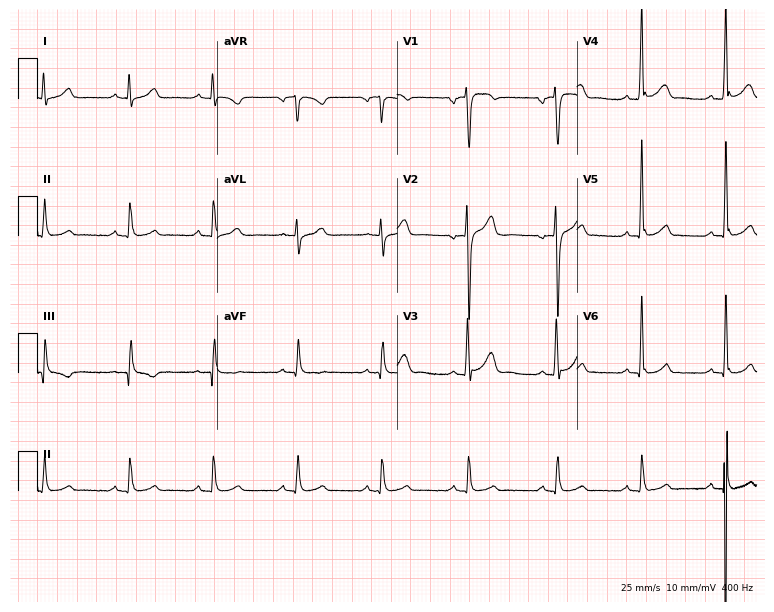
12-lead ECG (7.3-second recording at 400 Hz) from a man, 18 years old. Labelled as a normal ECG.